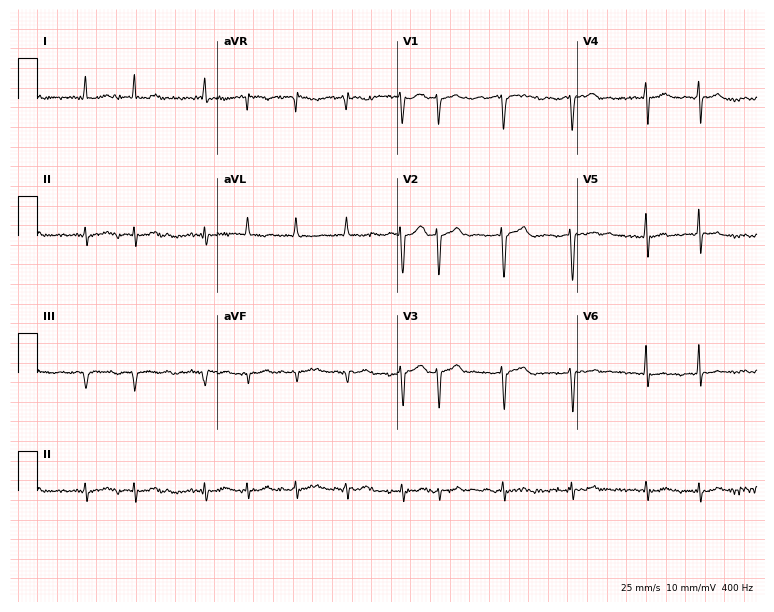
Electrocardiogram, a woman, 74 years old. Interpretation includes atrial fibrillation (AF).